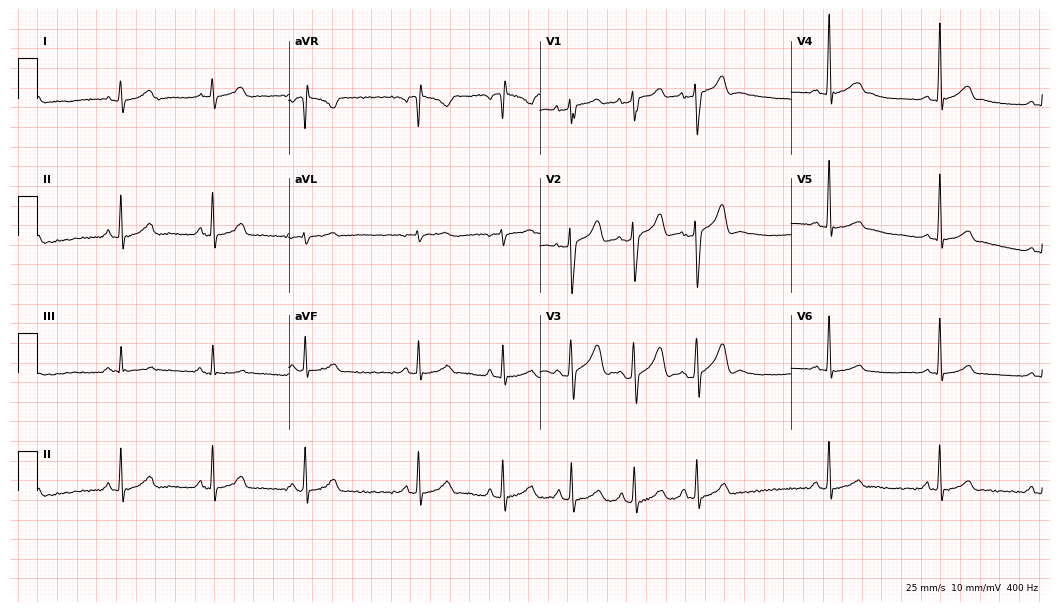
Electrocardiogram (10.2-second recording at 400 Hz), a man, 18 years old. Of the six screened findings (first-degree AV block, right bundle branch block (RBBB), left bundle branch block (LBBB), sinus bradycardia, atrial fibrillation (AF), sinus tachycardia), none is recorded. Findings outside these six are not listed.